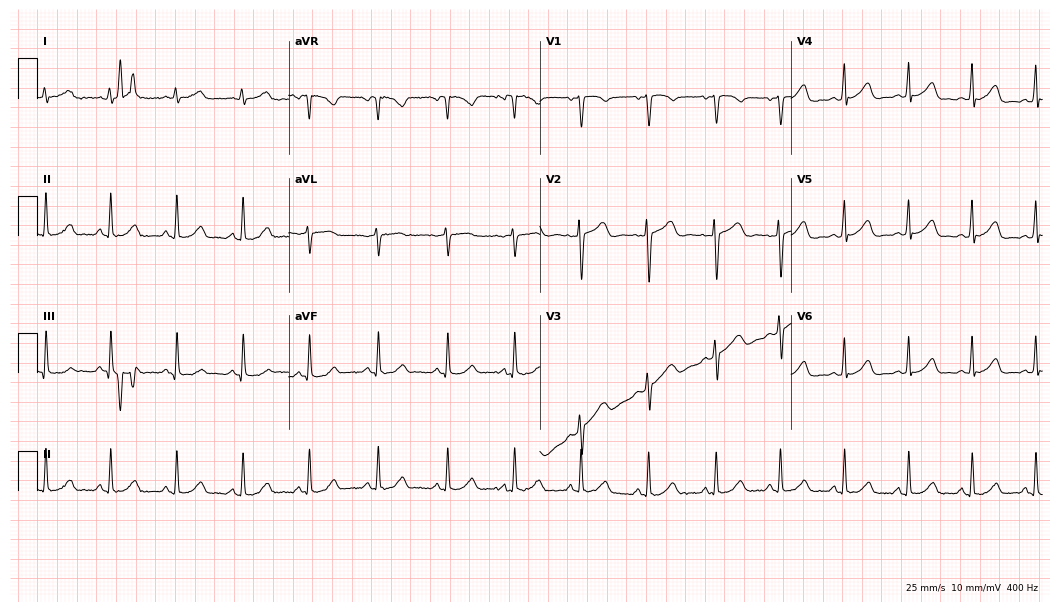
12-lead ECG from a female, 20 years old. Labelled as a normal ECG.